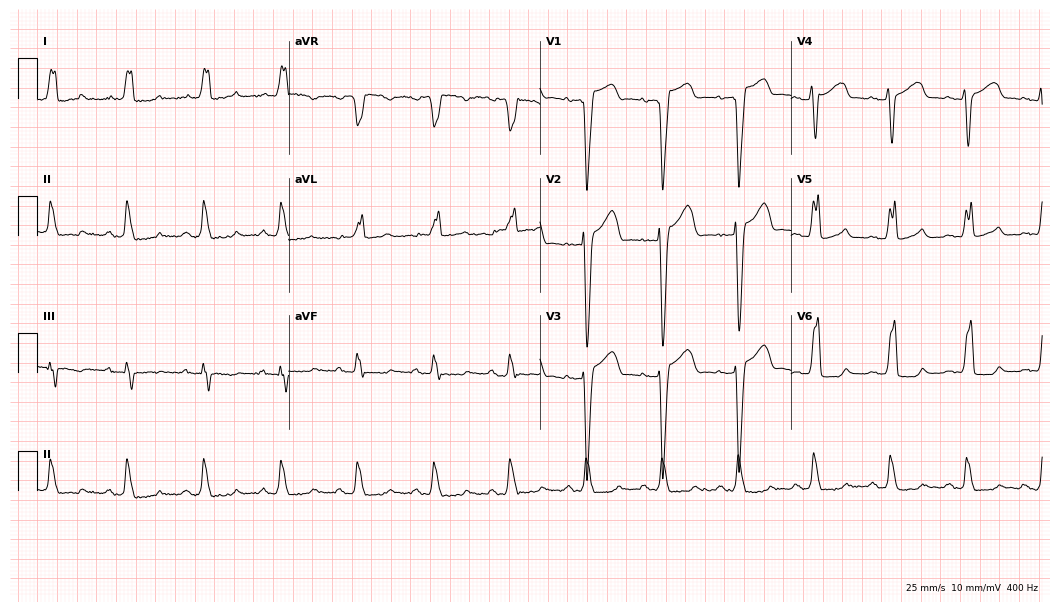
Electrocardiogram (10.2-second recording at 400 Hz), a 78-year-old woman. Interpretation includes left bundle branch block.